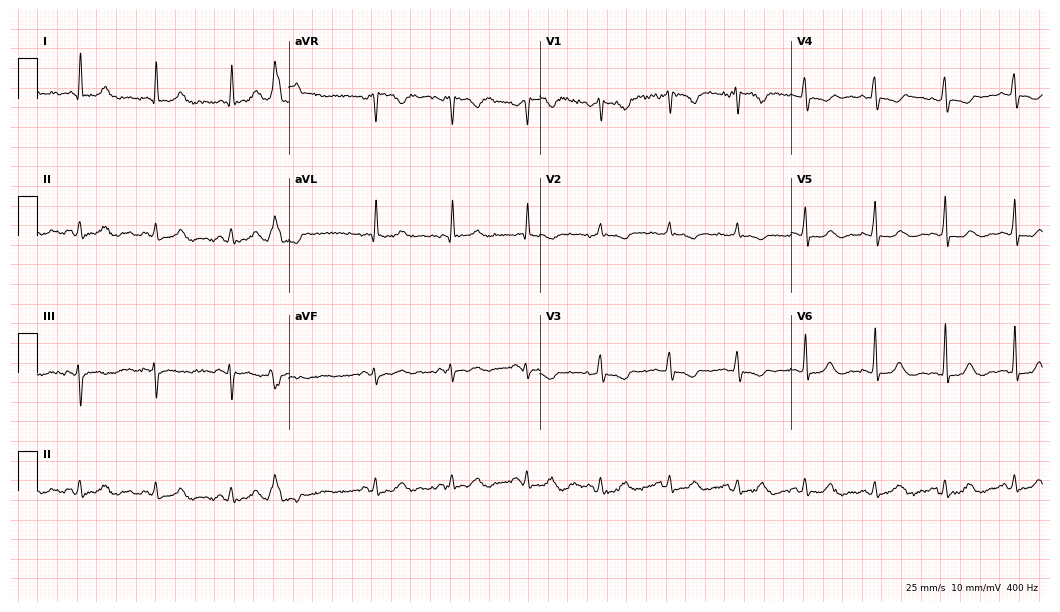
12-lead ECG from a woman, 77 years old. No first-degree AV block, right bundle branch block (RBBB), left bundle branch block (LBBB), sinus bradycardia, atrial fibrillation (AF) or sinus tachycardia recorded for this tracing. Only these six findings were labelled.